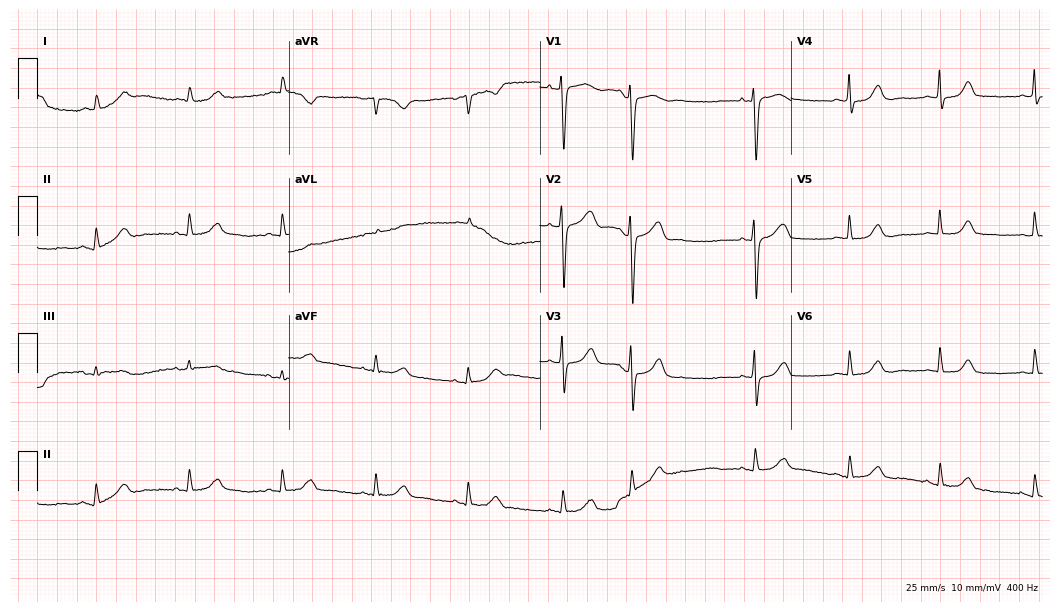
12-lead ECG from a 47-year-old female patient. No first-degree AV block, right bundle branch block, left bundle branch block, sinus bradycardia, atrial fibrillation or sinus tachycardia recorded for this tracing. Only these six findings were labelled.